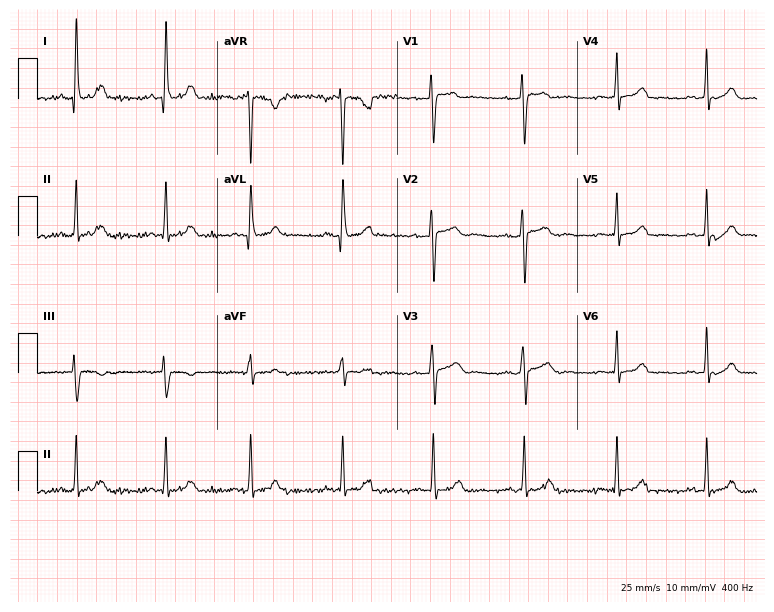
ECG (7.3-second recording at 400 Hz) — a 28-year-old female patient. Screened for six findings — first-degree AV block, right bundle branch block, left bundle branch block, sinus bradycardia, atrial fibrillation, sinus tachycardia — none is recorded.